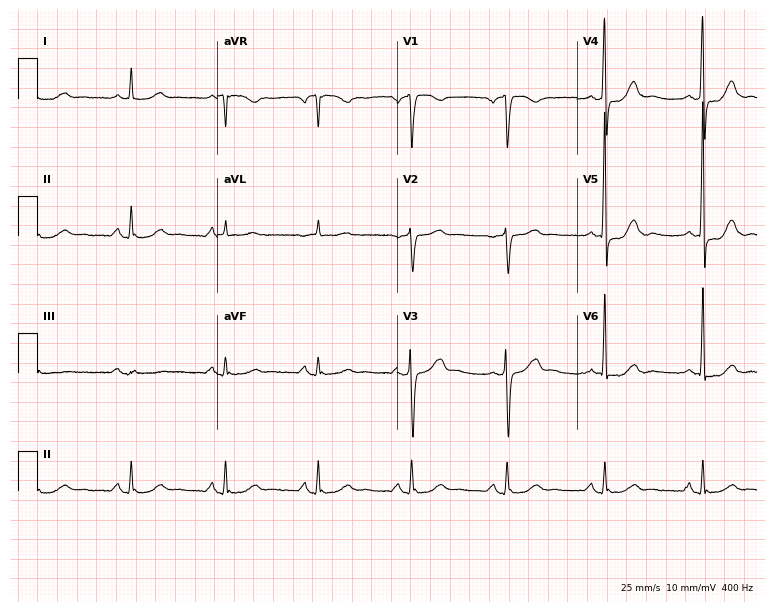
ECG (7.3-second recording at 400 Hz) — a female patient, 75 years old. Screened for six findings — first-degree AV block, right bundle branch block, left bundle branch block, sinus bradycardia, atrial fibrillation, sinus tachycardia — none is recorded.